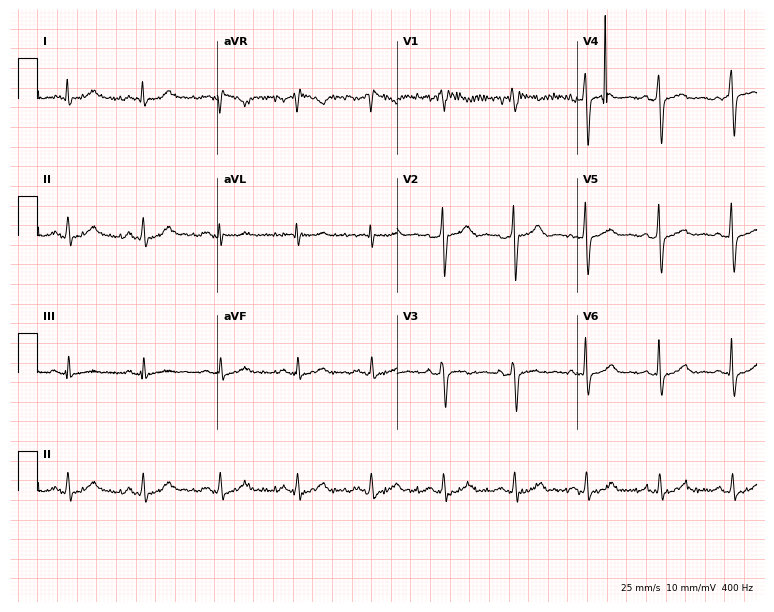
Standard 12-lead ECG recorded from a 33-year-old male patient. None of these six findings is recorded: first-degree AV block, right bundle branch block (RBBB), left bundle branch block (LBBB), sinus bradycardia, atrial fibrillation (AF), sinus tachycardia.